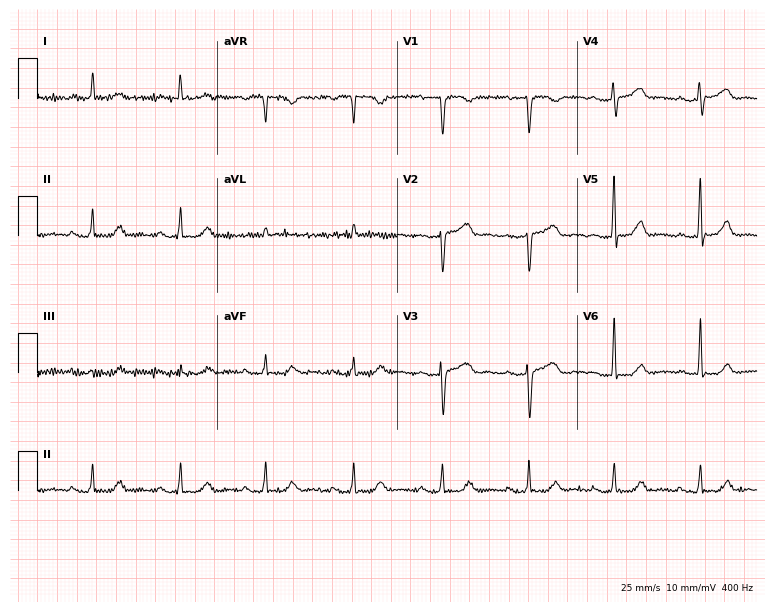
12-lead ECG (7.3-second recording at 400 Hz) from a 64-year-old woman. Labelled as a normal ECG.